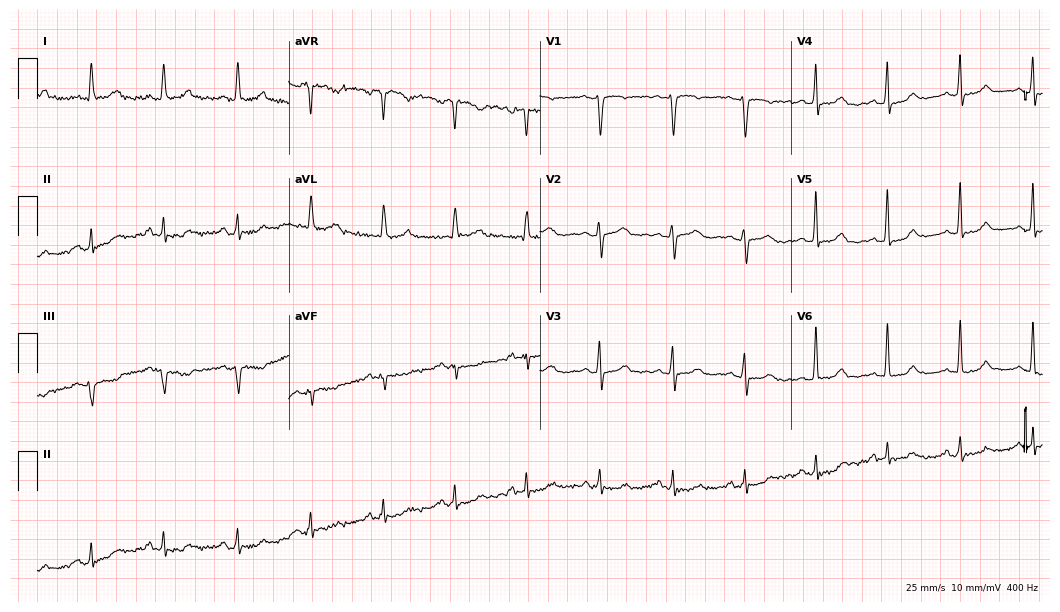
Standard 12-lead ECG recorded from a female patient, 67 years old (10.2-second recording at 400 Hz). None of these six findings is recorded: first-degree AV block, right bundle branch block (RBBB), left bundle branch block (LBBB), sinus bradycardia, atrial fibrillation (AF), sinus tachycardia.